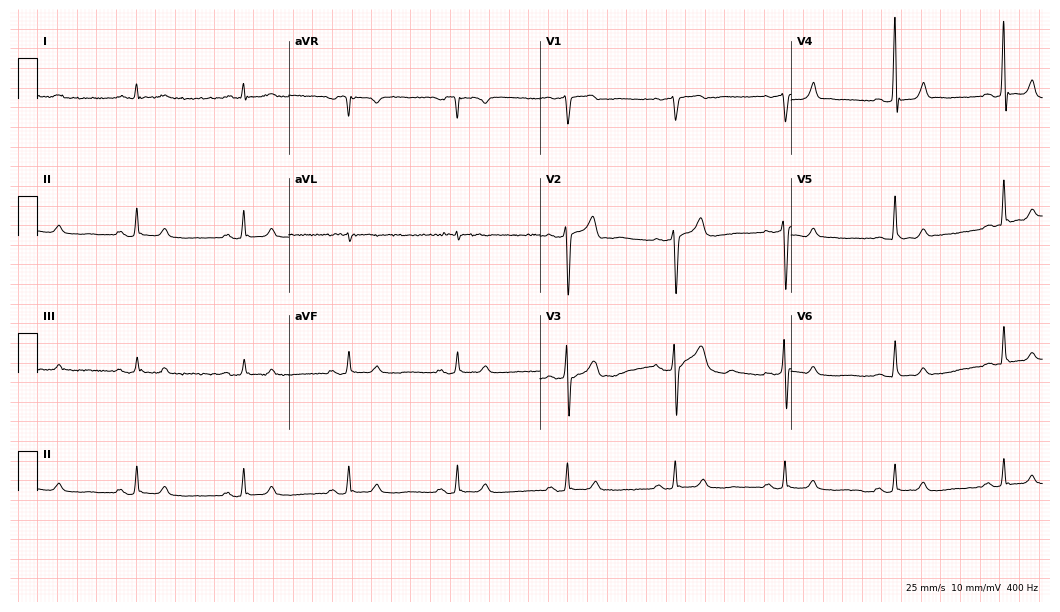
Standard 12-lead ECG recorded from a 67-year-old male (10.2-second recording at 400 Hz). Read as a normal ECG.